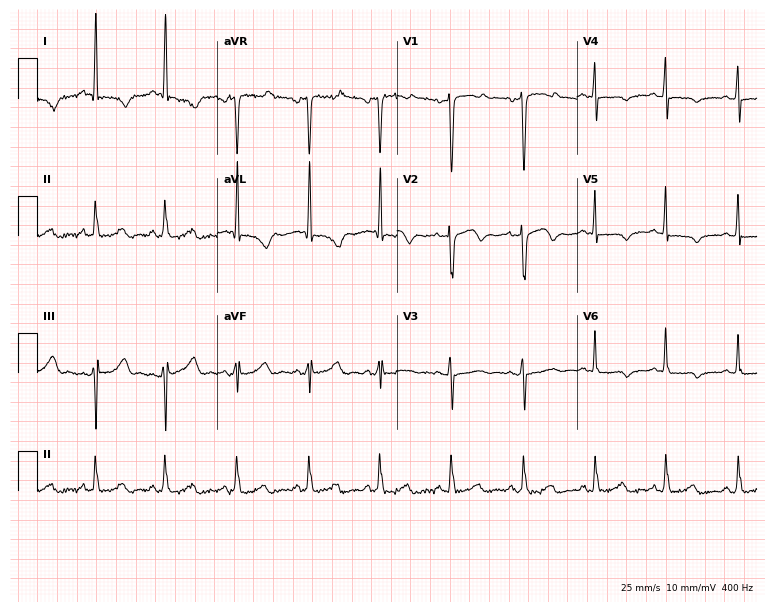
Electrocardiogram, a 56-year-old woman. Of the six screened findings (first-degree AV block, right bundle branch block (RBBB), left bundle branch block (LBBB), sinus bradycardia, atrial fibrillation (AF), sinus tachycardia), none is recorded.